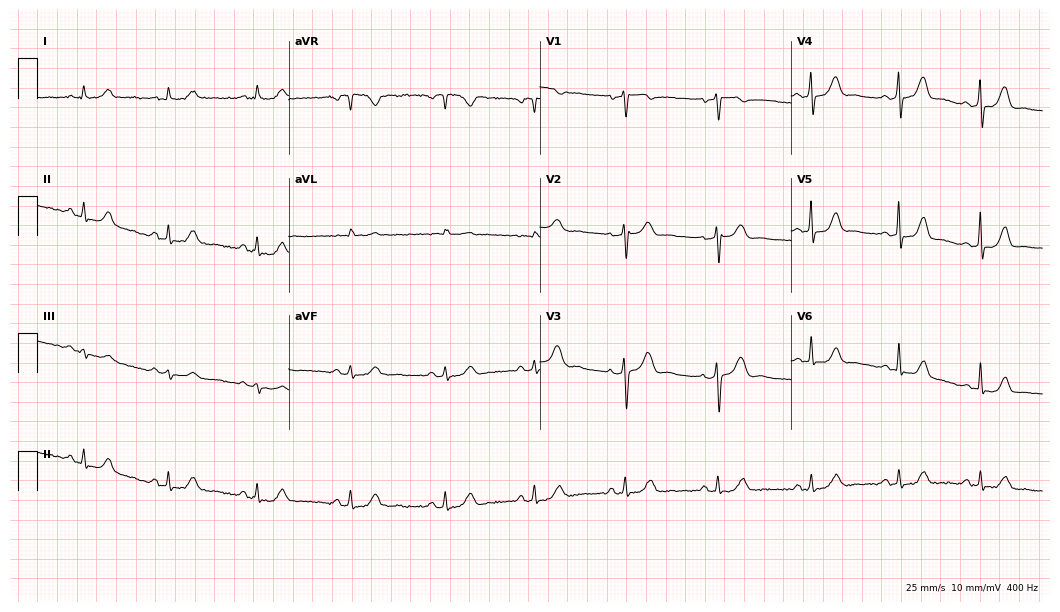
12-lead ECG (10.2-second recording at 400 Hz) from a 45-year-old female. Labelled as a normal ECG.